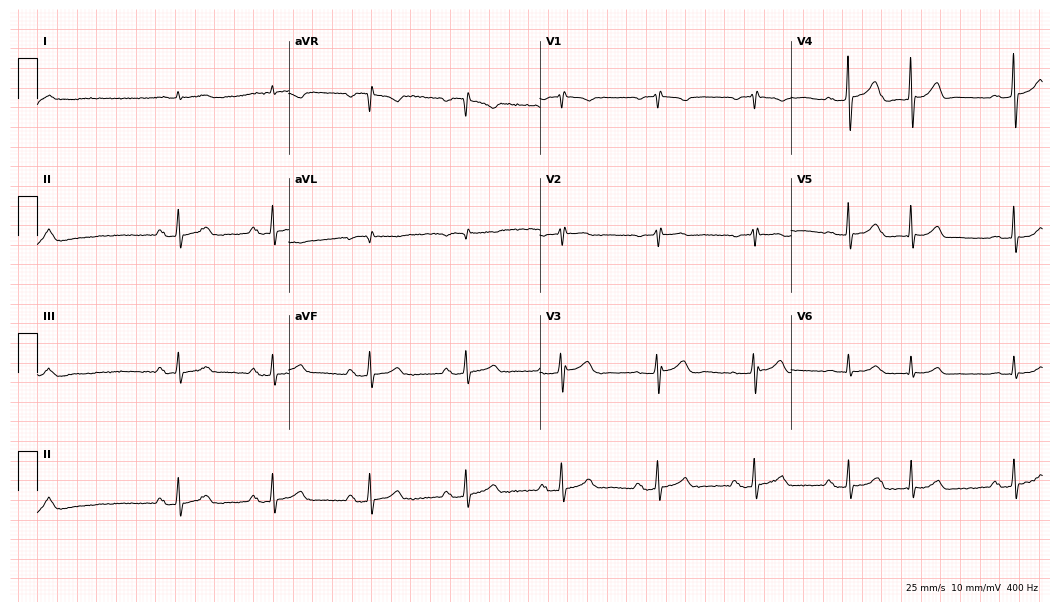
Standard 12-lead ECG recorded from an 80-year-old male patient (10.2-second recording at 400 Hz). Read as a normal ECG.